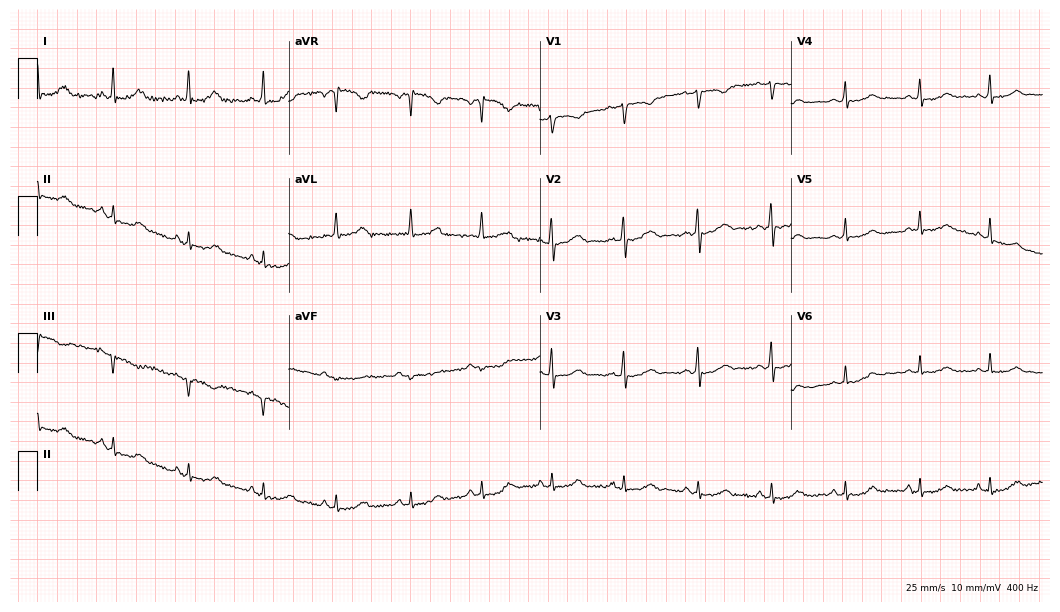
12-lead ECG from a 48-year-old female patient. Recorded interpretation: within normal limits.